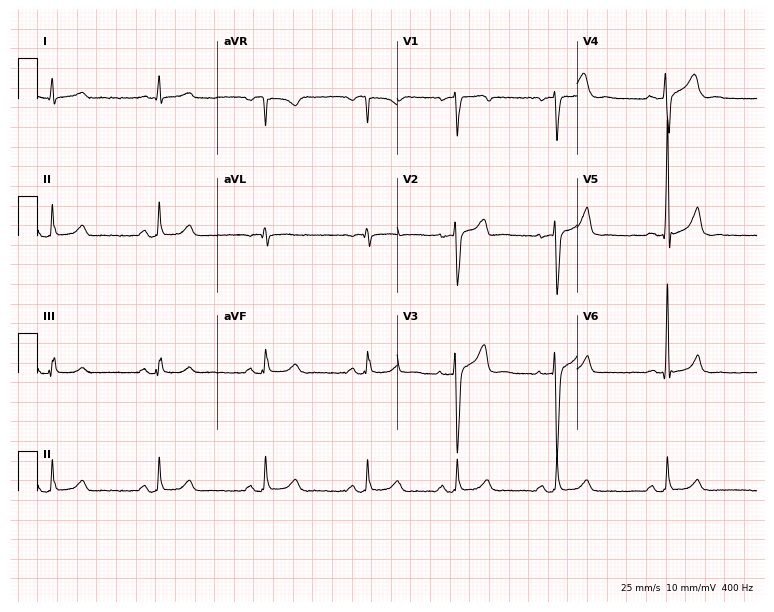
12-lead ECG (7.3-second recording at 400 Hz) from a 43-year-old man. Labelled as a normal ECG.